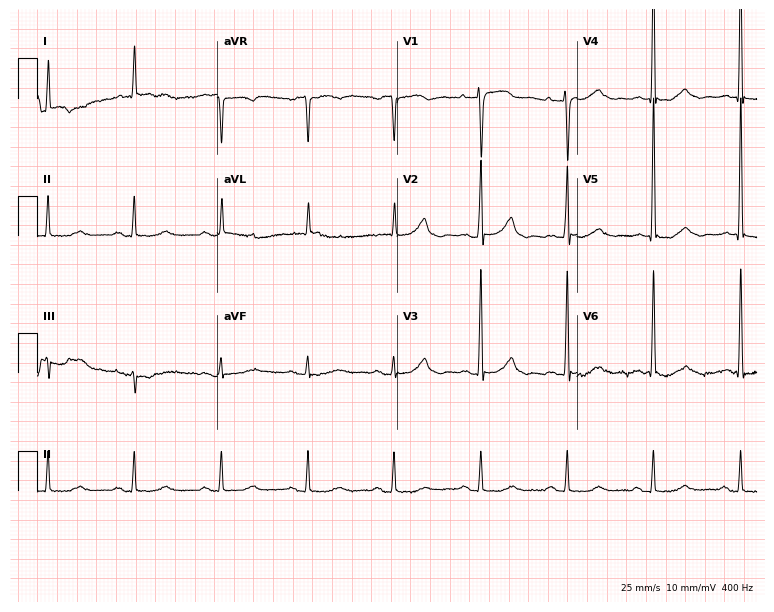
Electrocardiogram (7.3-second recording at 400 Hz), a female patient, 84 years old. Of the six screened findings (first-degree AV block, right bundle branch block (RBBB), left bundle branch block (LBBB), sinus bradycardia, atrial fibrillation (AF), sinus tachycardia), none is recorded.